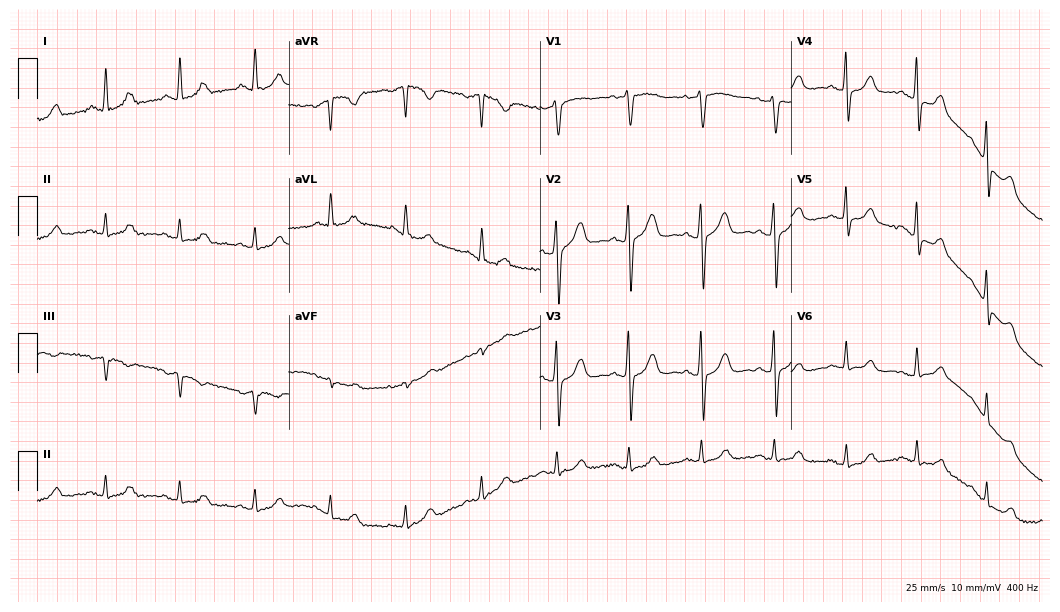
ECG — a 59-year-old female patient. Screened for six findings — first-degree AV block, right bundle branch block, left bundle branch block, sinus bradycardia, atrial fibrillation, sinus tachycardia — none is recorded. Findings outside these six are not listed.